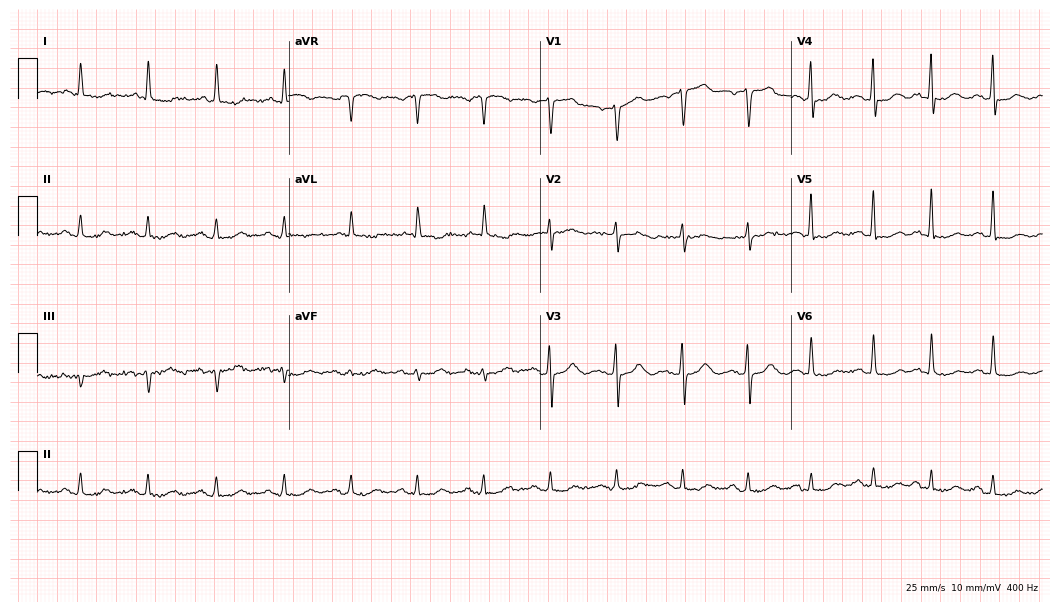
Electrocardiogram (10.2-second recording at 400 Hz), a female patient, 76 years old. Of the six screened findings (first-degree AV block, right bundle branch block, left bundle branch block, sinus bradycardia, atrial fibrillation, sinus tachycardia), none is recorded.